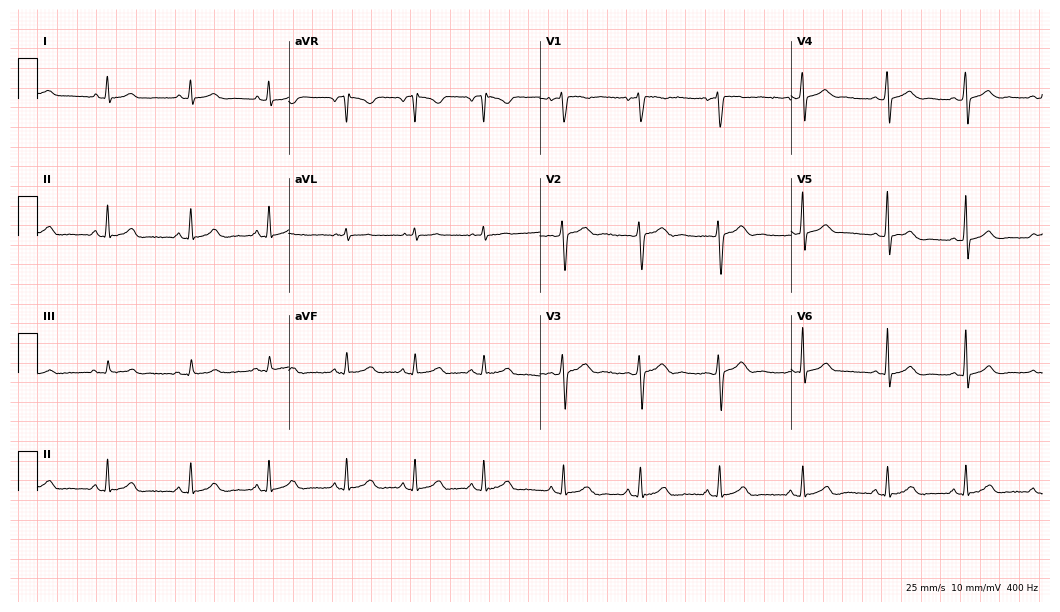
12-lead ECG from a female patient, 31 years old. Recorded interpretation: within normal limits.